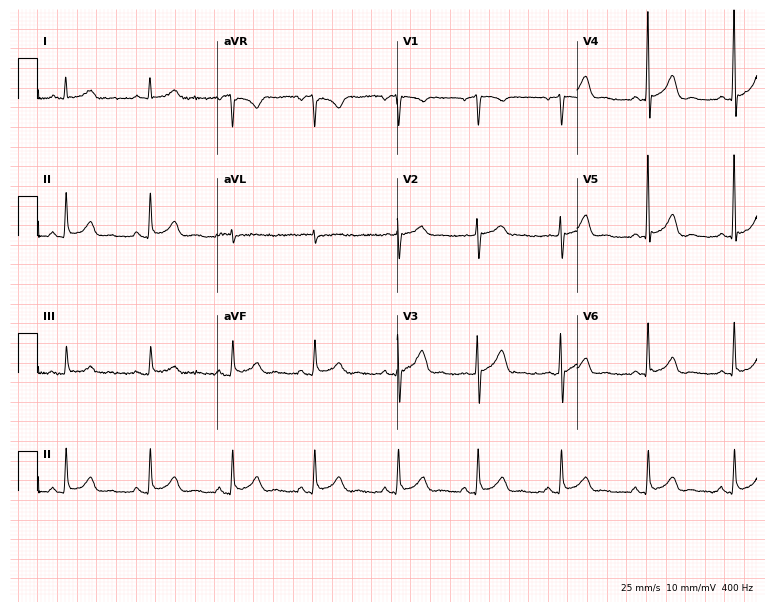
Electrocardiogram, a 54-year-old man. Of the six screened findings (first-degree AV block, right bundle branch block, left bundle branch block, sinus bradycardia, atrial fibrillation, sinus tachycardia), none is recorded.